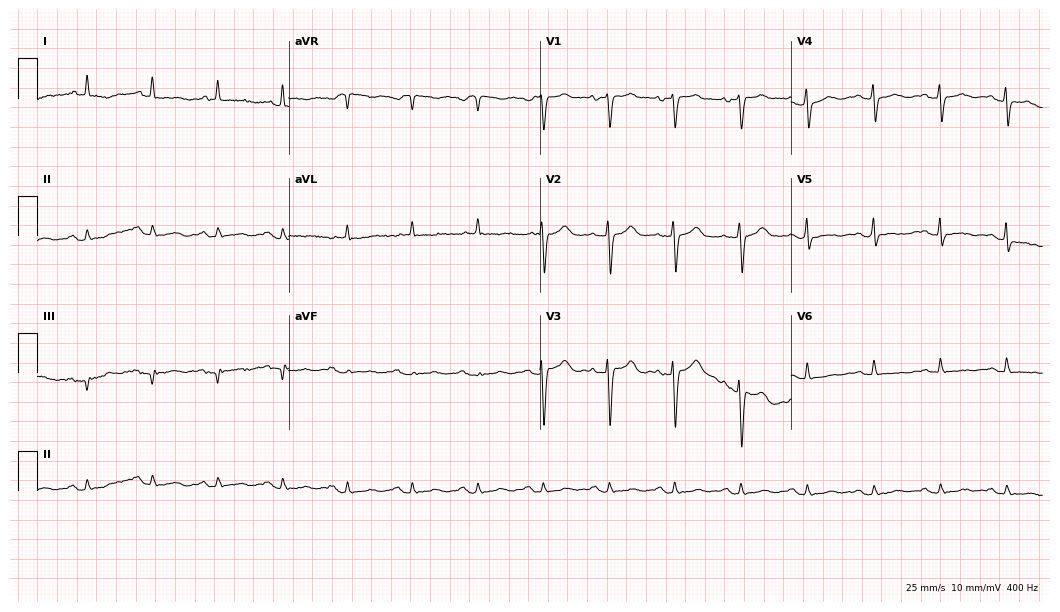
12-lead ECG from an 81-year-old woman. No first-degree AV block, right bundle branch block, left bundle branch block, sinus bradycardia, atrial fibrillation or sinus tachycardia recorded for this tracing.